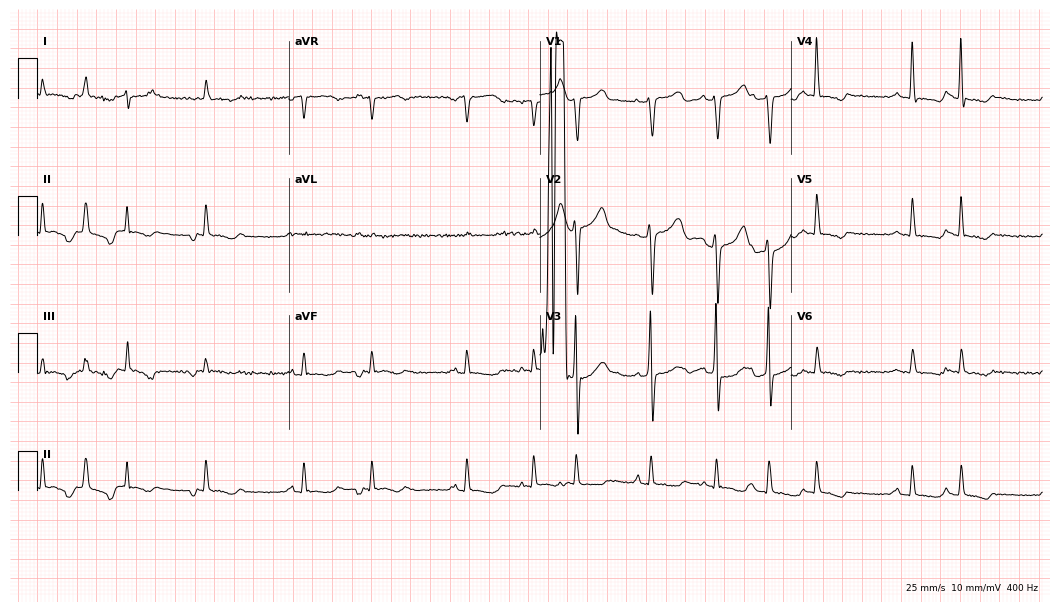
12-lead ECG (10.2-second recording at 400 Hz) from a 74-year-old female patient. Screened for six findings — first-degree AV block, right bundle branch block, left bundle branch block, sinus bradycardia, atrial fibrillation, sinus tachycardia — none is recorded.